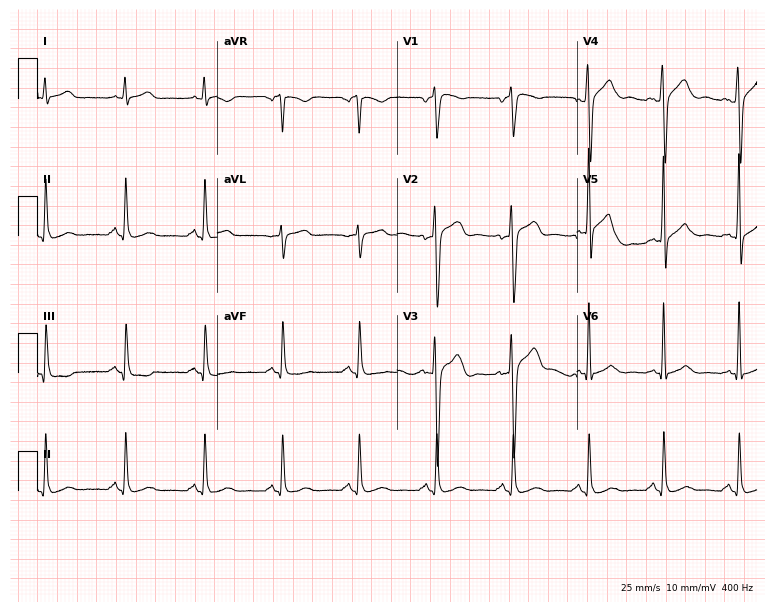
12-lead ECG from a 41-year-old male patient (7.3-second recording at 400 Hz). No first-degree AV block, right bundle branch block, left bundle branch block, sinus bradycardia, atrial fibrillation or sinus tachycardia recorded for this tracing.